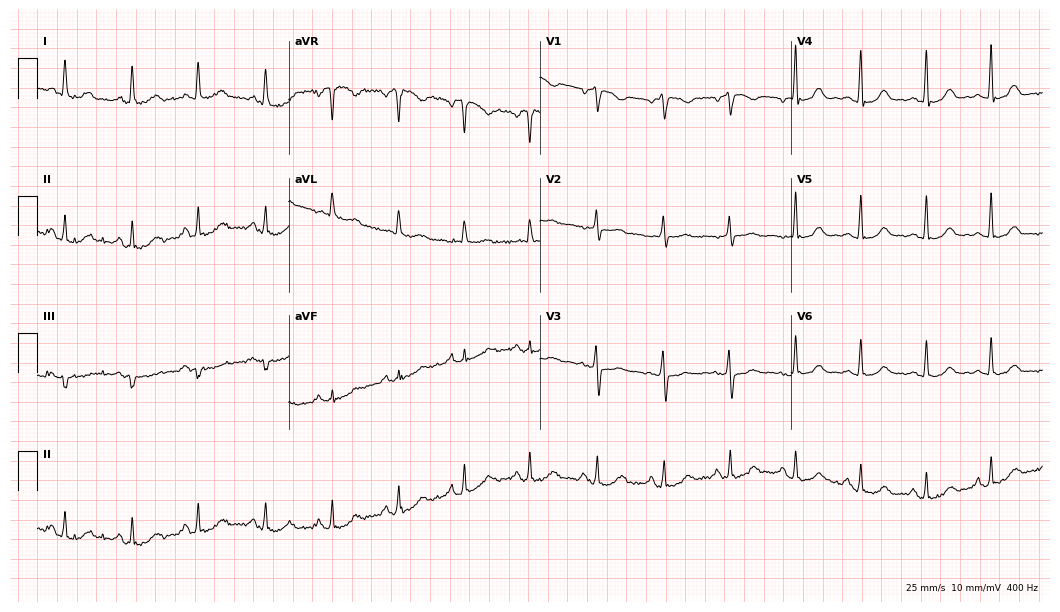
12-lead ECG from a woman, 63 years old (10.2-second recording at 400 Hz). Recorded interpretation: within normal limits.